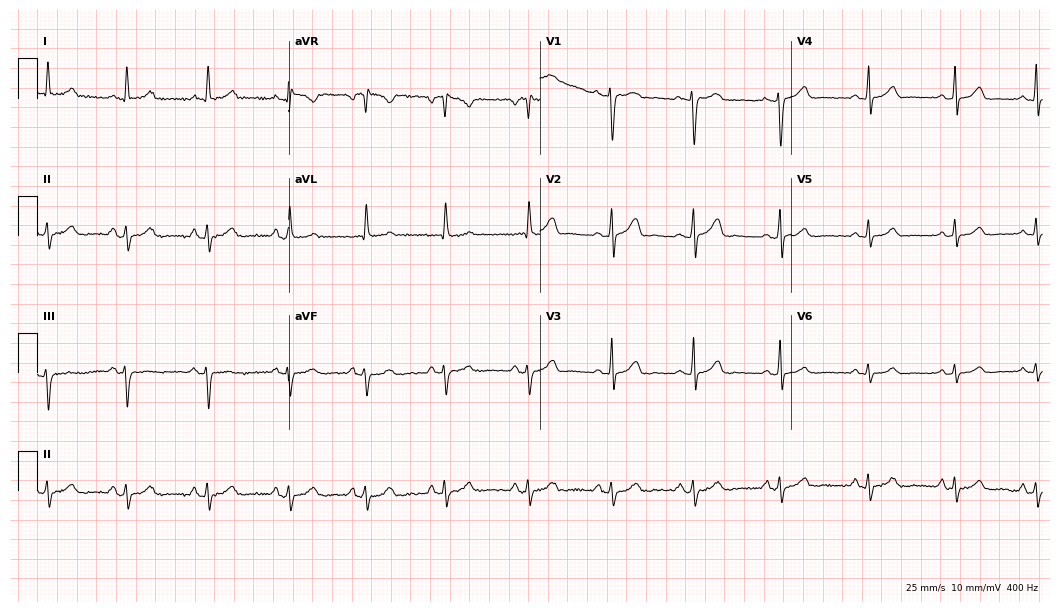
Electrocardiogram, a woman, 27 years old. Of the six screened findings (first-degree AV block, right bundle branch block (RBBB), left bundle branch block (LBBB), sinus bradycardia, atrial fibrillation (AF), sinus tachycardia), none is recorded. Other findings, if any, are not listed.